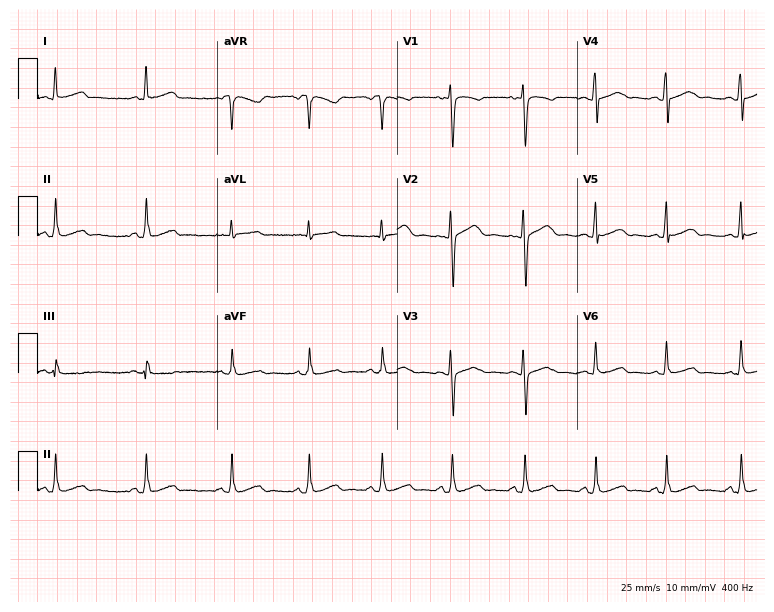
Electrocardiogram (7.3-second recording at 400 Hz), a 27-year-old female. Overall reading on record: normal ECG.